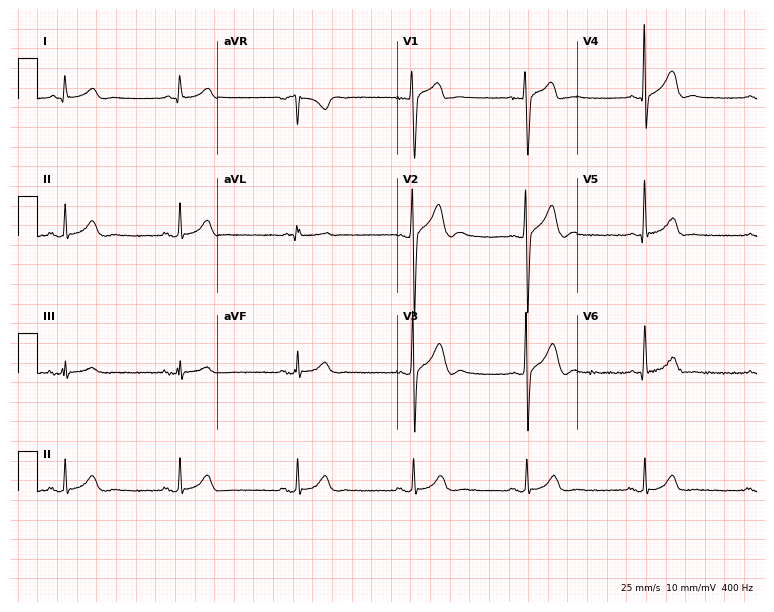
Resting 12-lead electrocardiogram (7.3-second recording at 400 Hz). Patient: a 32-year-old male. Read as a normal ECG.